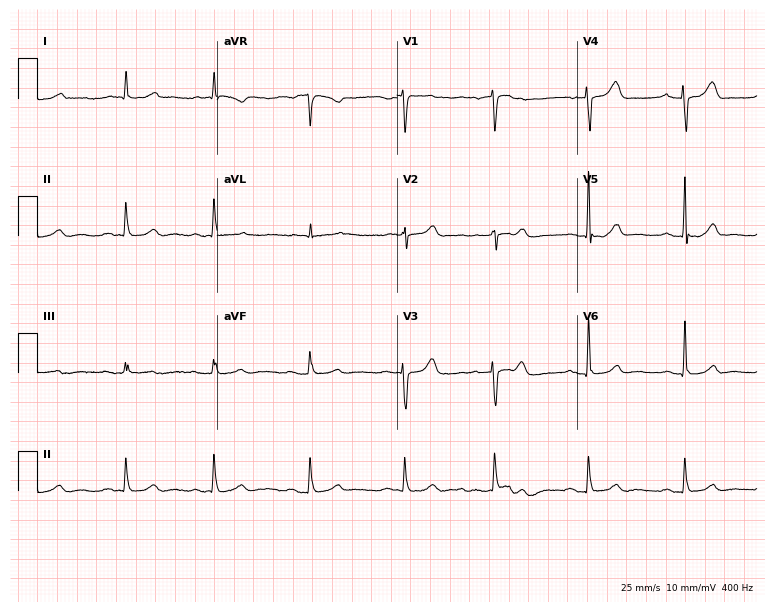
Resting 12-lead electrocardiogram. Patient: an 84-year-old male. Read as a normal ECG.